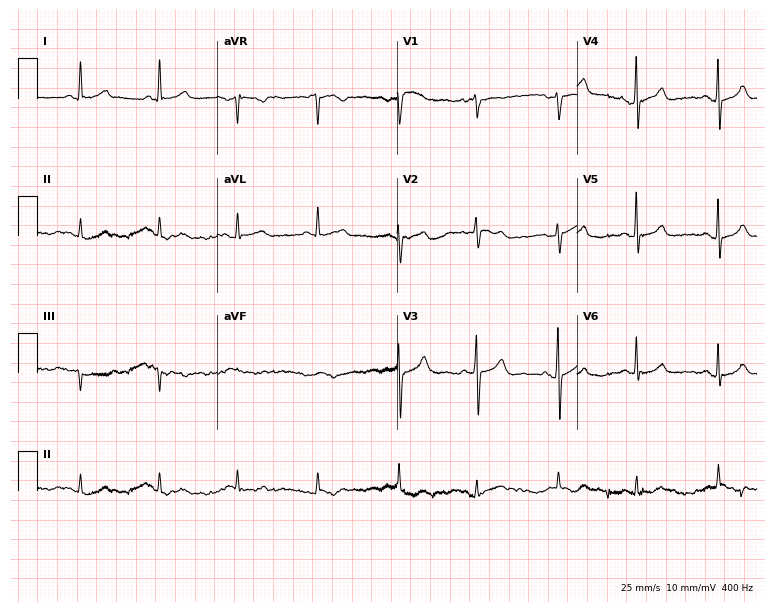
Standard 12-lead ECG recorded from a 58-year-old female (7.3-second recording at 400 Hz). None of these six findings is recorded: first-degree AV block, right bundle branch block, left bundle branch block, sinus bradycardia, atrial fibrillation, sinus tachycardia.